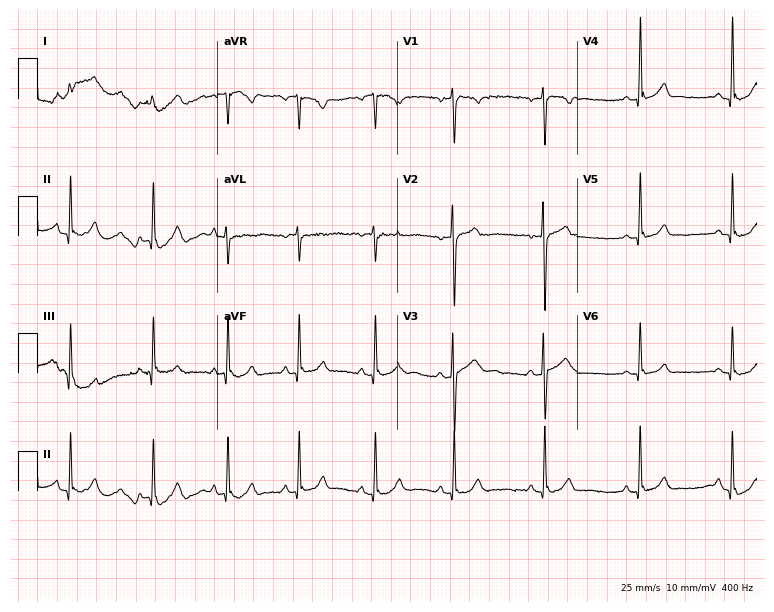
Electrocardiogram, a male patient, 17 years old. Of the six screened findings (first-degree AV block, right bundle branch block, left bundle branch block, sinus bradycardia, atrial fibrillation, sinus tachycardia), none is recorded. Other findings, if any, are not listed.